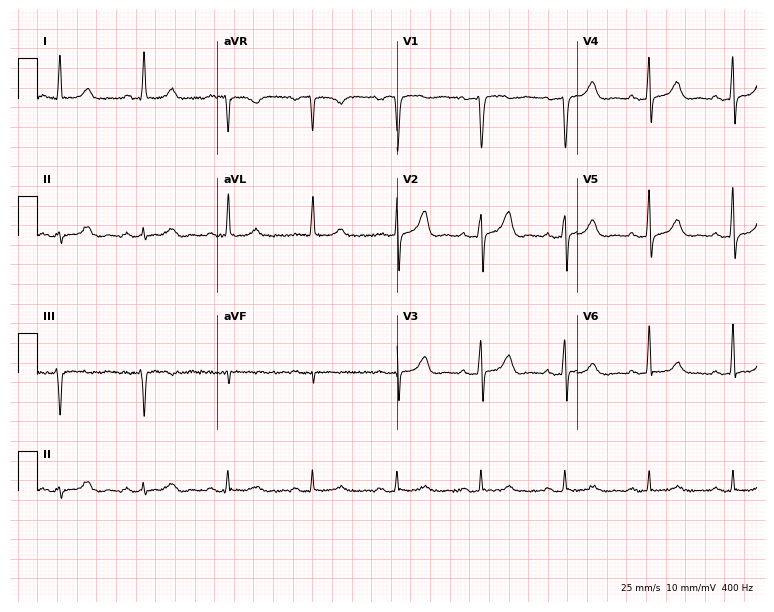
Electrocardiogram (7.3-second recording at 400 Hz), a 63-year-old male patient. Overall reading on record: normal ECG.